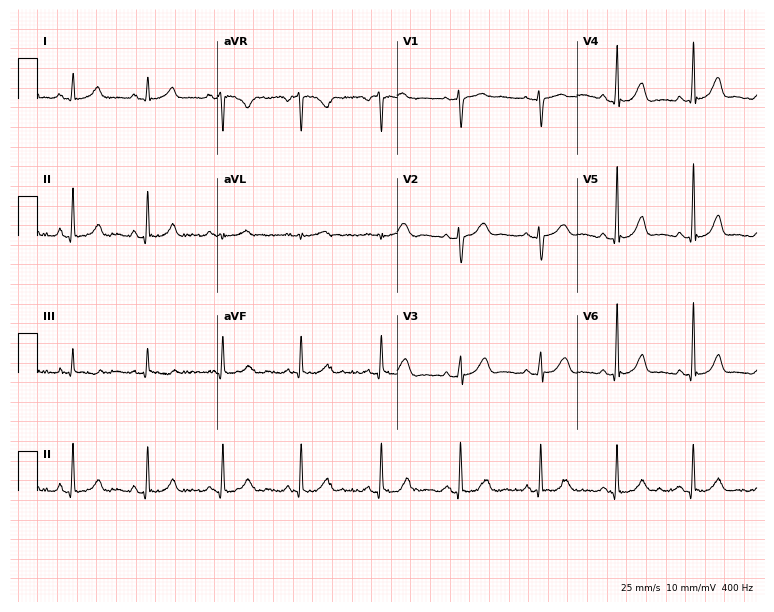
12-lead ECG from a female, 38 years old (7.3-second recording at 400 Hz). Recorded interpretation: within normal limits.